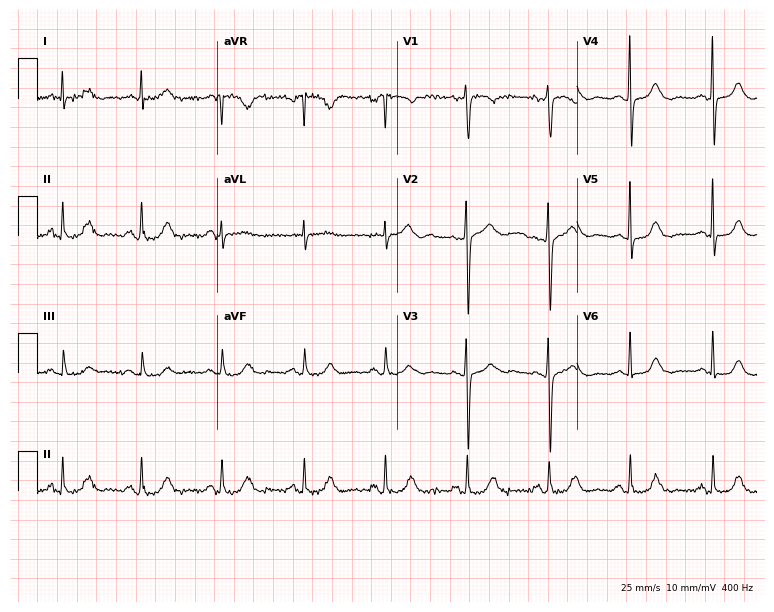
Electrocardiogram, a 70-year-old female patient. Overall reading on record: normal ECG.